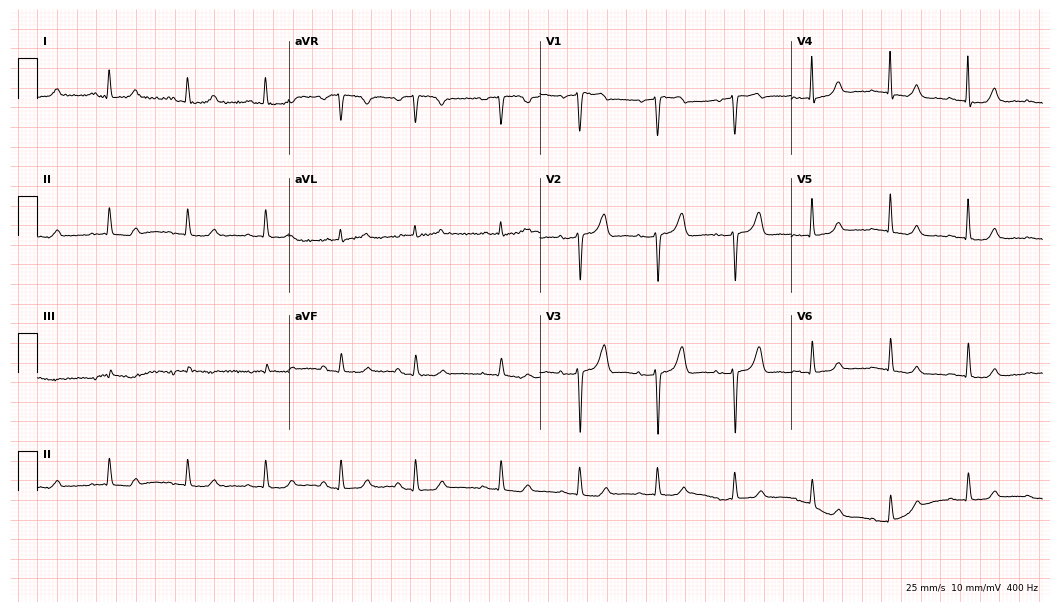
Standard 12-lead ECG recorded from an 82-year-old female patient. Read as a normal ECG.